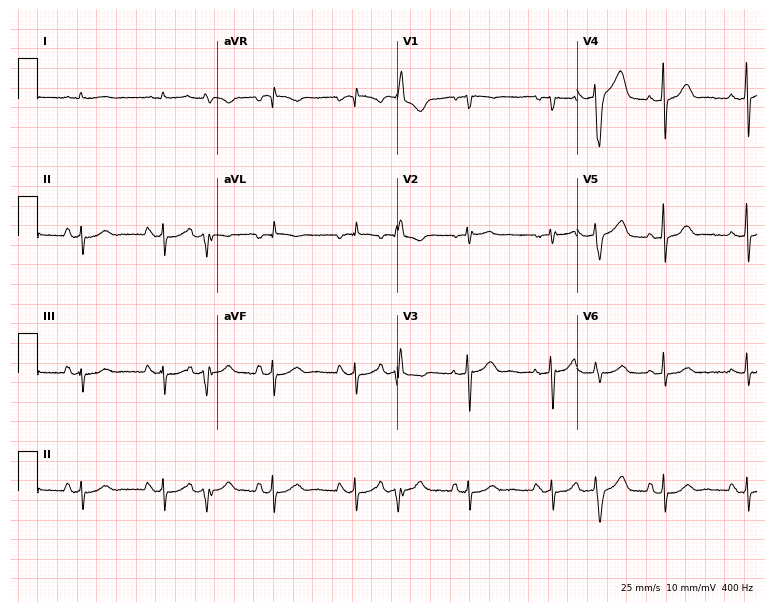
Standard 12-lead ECG recorded from an 85-year-old male patient (7.3-second recording at 400 Hz). None of these six findings is recorded: first-degree AV block, right bundle branch block (RBBB), left bundle branch block (LBBB), sinus bradycardia, atrial fibrillation (AF), sinus tachycardia.